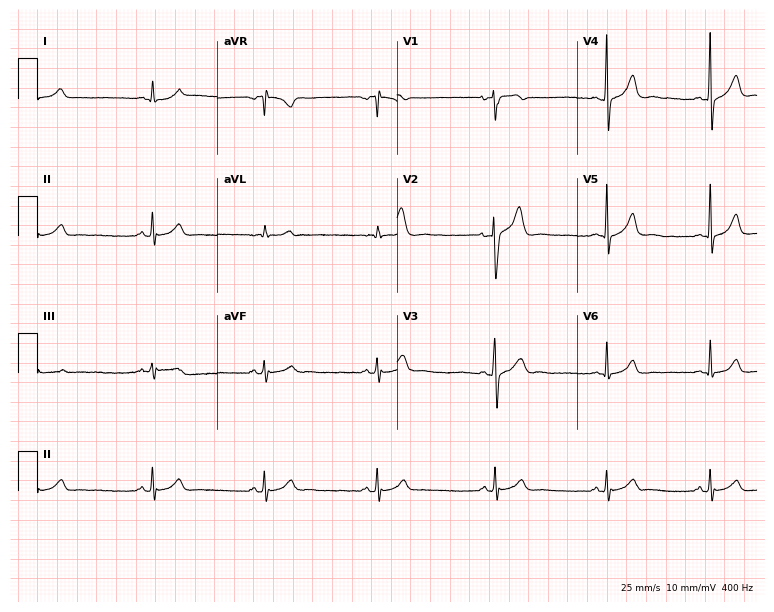
Standard 12-lead ECG recorded from a man, 27 years old. Read as a normal ECG.